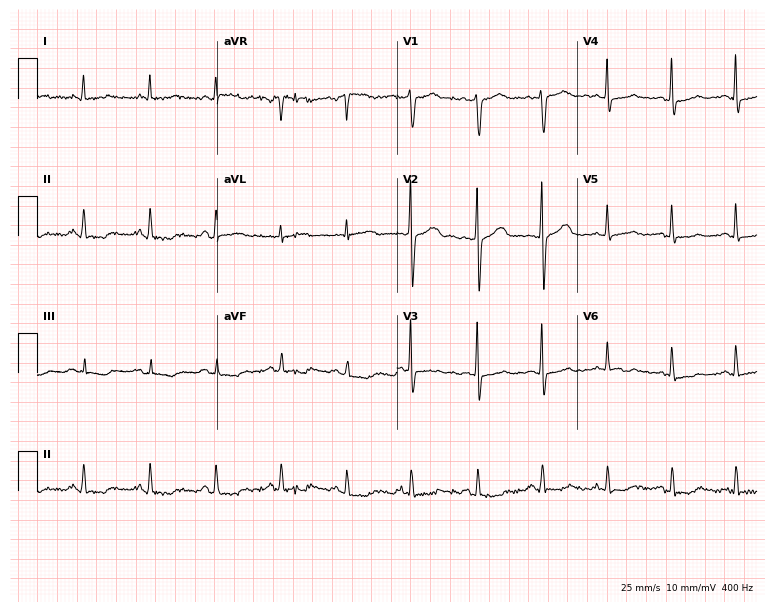
12-lead ECG from a 56-year-old female. No first-degree AV block, right bundle branch block (RBBB), left bundle branch block (LBBB), sinus bradycardia, atrial fibrillation (AF) or sinus tachycardia recorded for this tracing. Other findings, if any, are not listed.